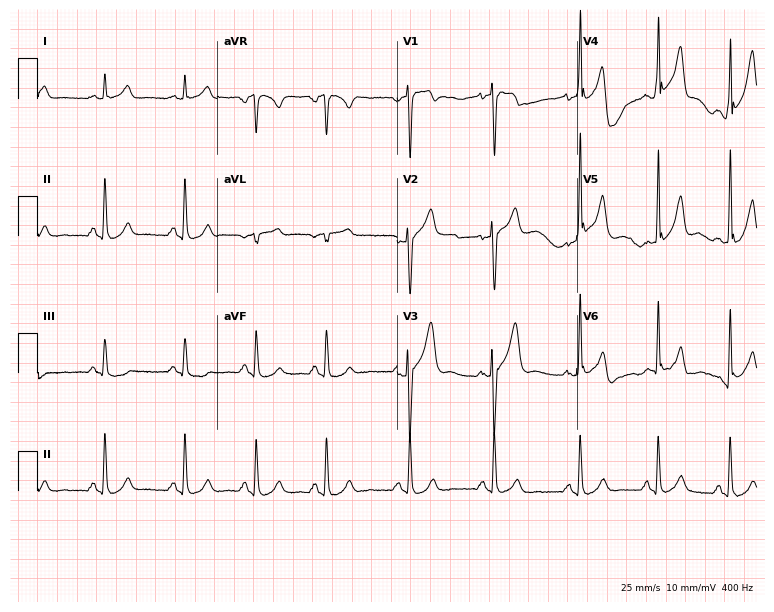
Electrocardiogram, a 27-year-old male patient. Overall reading on record: normal ECG.